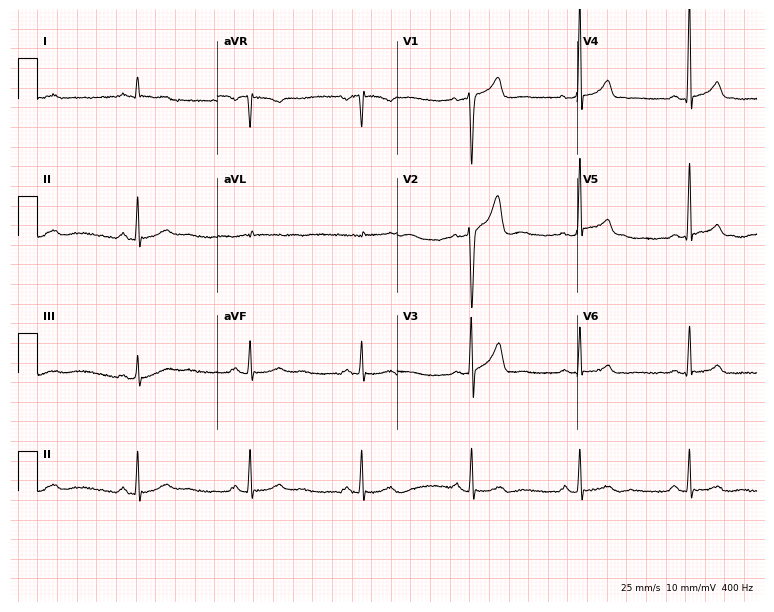
12-lead ECG (7.3-second recording at 400 Hz) from a male, 47 years old. Screened for six findings — first-degree AV block, right bundle branch block, left bundle branch block, sinus bradycardia, atrial fibrillation, sinus tachycardia — none is recorded. Other findings, if any, are not listed.